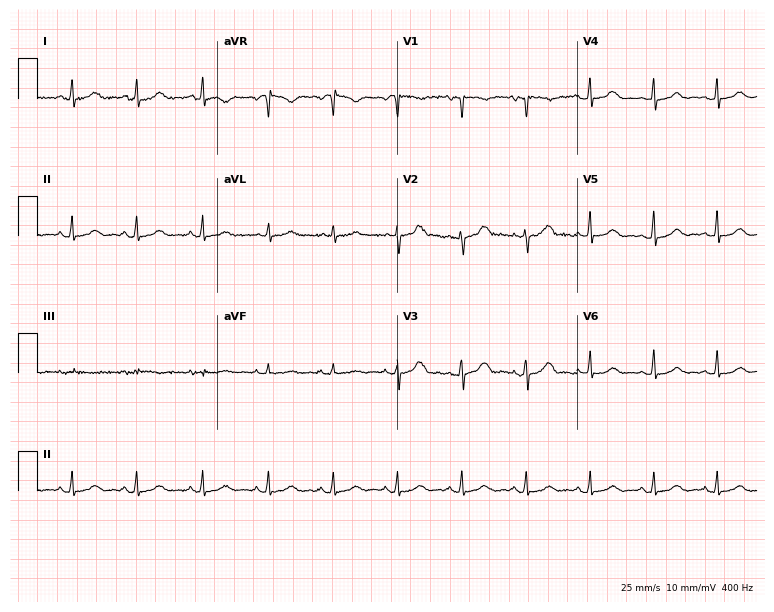
Electrocardiogram, a female, 40 years old. Overall reading on record: normal ECG.